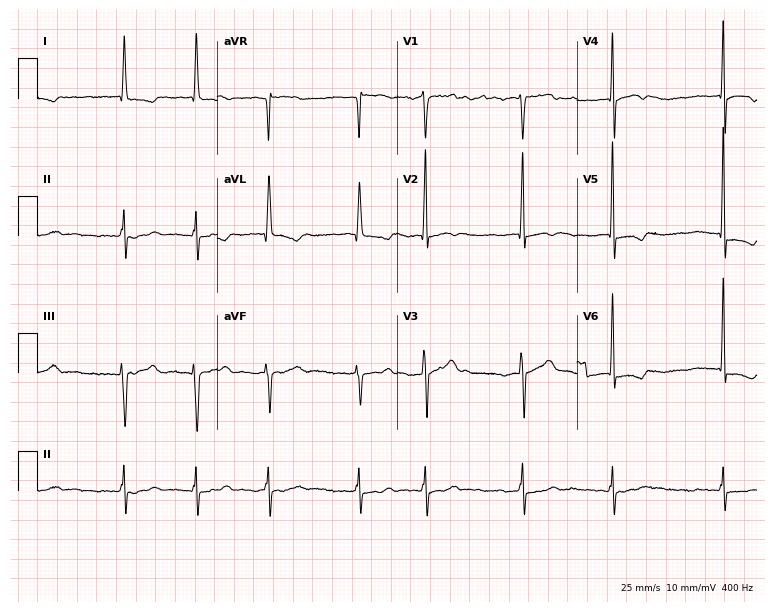
12-lead ECG from a female patient, 75 years old. Shows atrial fibrillation.